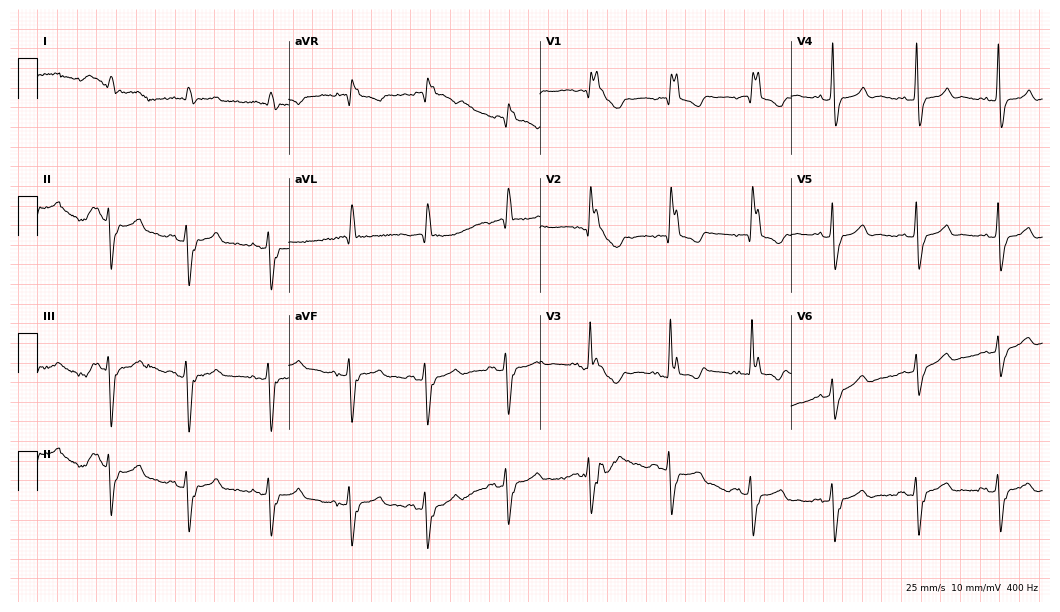
12-lead ECG from a man, 80 years old. Screened for six findings — first-degree AV block, right bundle branch block, left bundle branch block, sinus bradycardia, atrial fibrillation, sinus tachycardia — none is recorded.